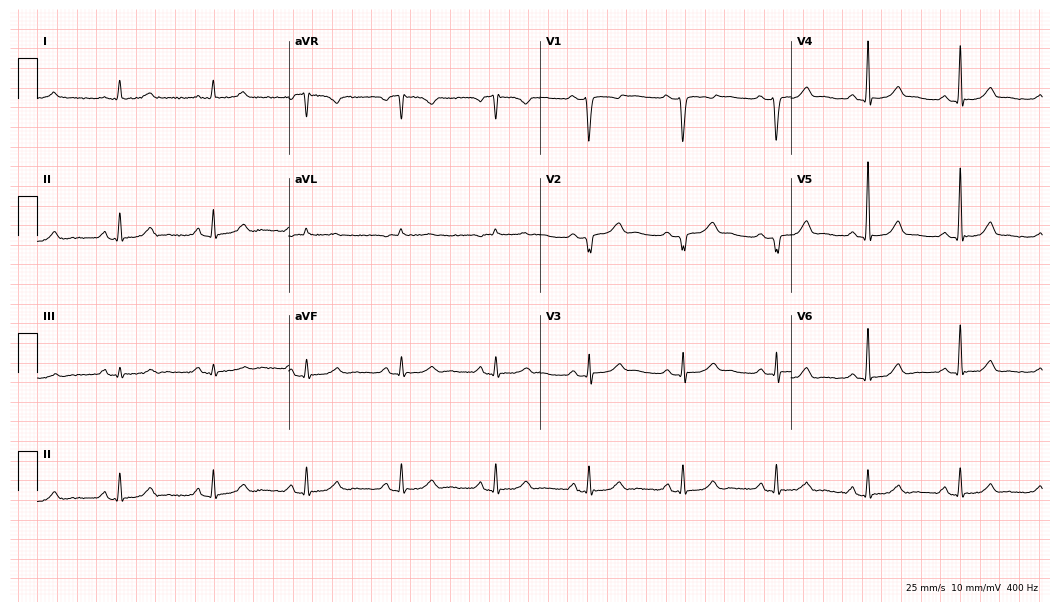
Resting 12-lead electrocardiogram. Patient: a 46-year-old woman. Read as a normal ECG.